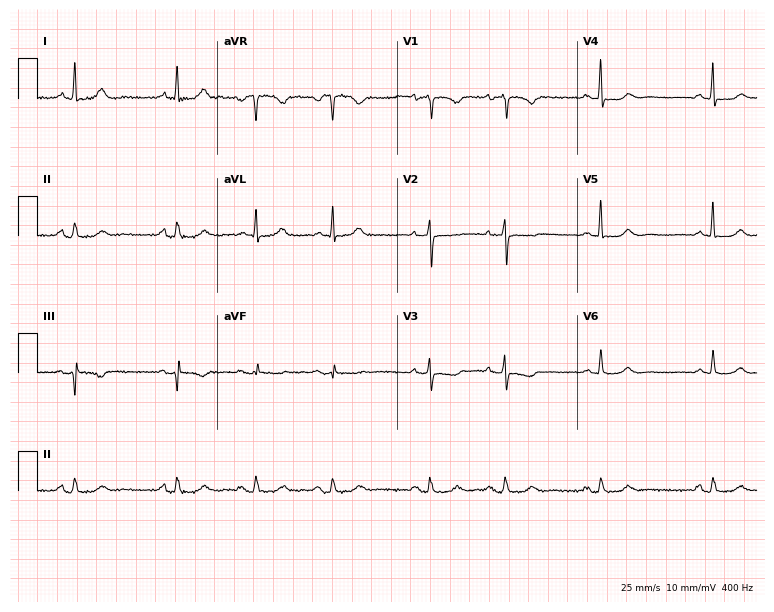
Standard 12-lead ECG recorded from a woman, 82 years old. None of these six findings is recorded: first-degree AV block, right bundle branch block, left bundle branch block, sinus bradycardia, atrial fibrillation, sinus tachycardia. Other findings, if any, are not listed.